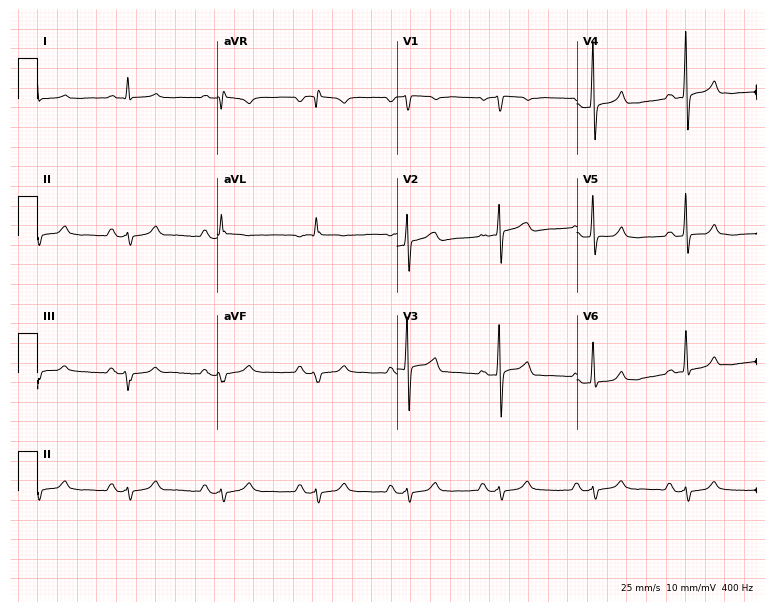
Resting 12-lead electrocardiogram (7.3-second recording at 400 Hz). Patient: a male, 66 years old. None of these six findings is recorded: first-degree AV block, right bundle branch block (RBBB), left bundle branch block (LBBB), sinus bradycardia, atrial fibrillation (AF), sinus tachycardia. Findings outside these six are not listed.